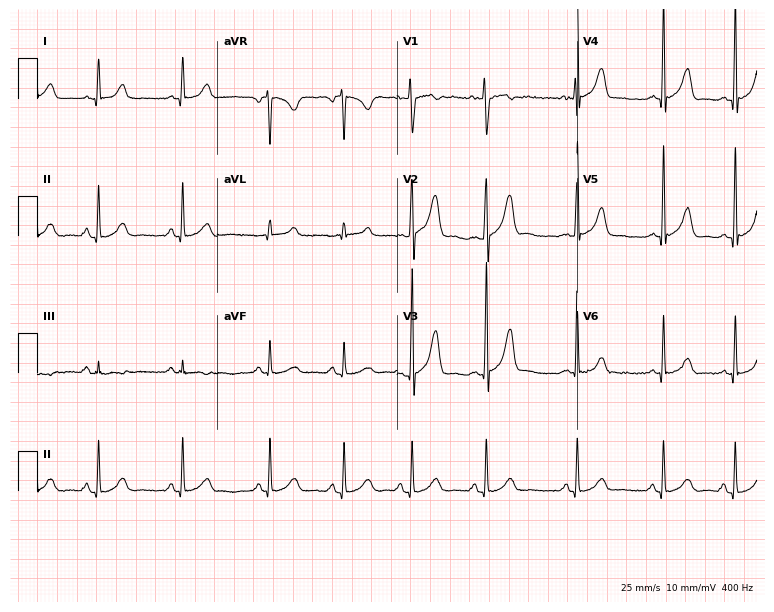
12-lead ECG from a 25-year-old female. No first-degree AV block, right bundle branch block (RBBB), left bundle branch block (LBBB), sinus bradycardia, atrial fibrillation (AF) or sinus tachycardia recorded for this tracing.